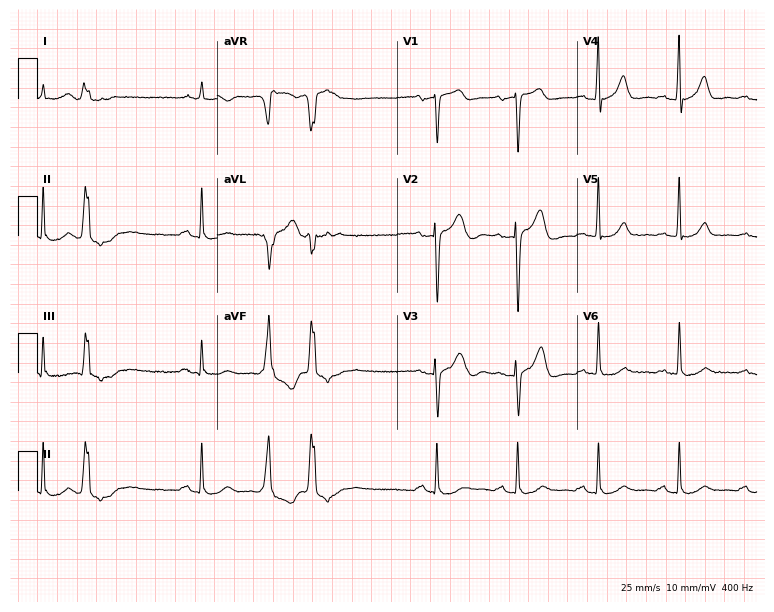
ECG (7.3-second recording at 400 Hz) — a 75-year-old male patient. Screened for six findings — first-degree AV block, right bundle branch block (RBBB), left bundle branch block (LBBB), sinus bradycardia, atrial fibrillation (AF), sinus tachycardia — none is recorded.